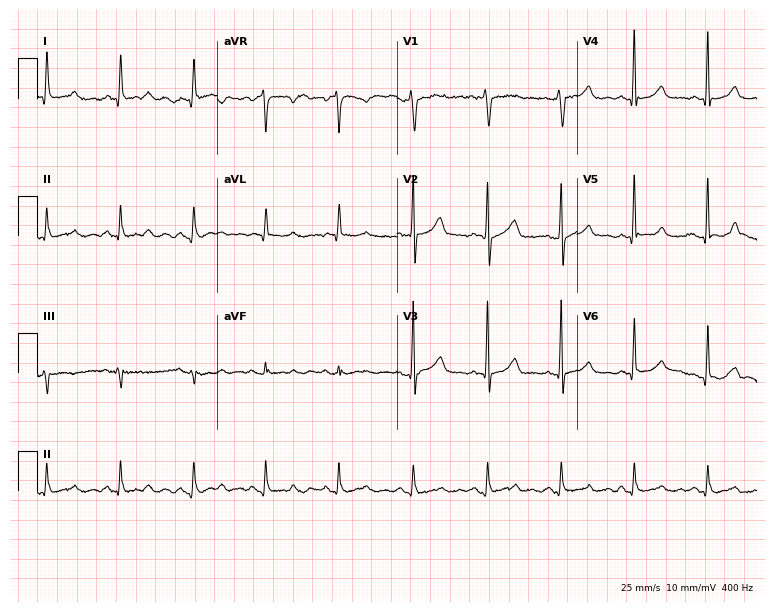
Resting 12-lead electrocardiogram. Patient: a 49-year-old male. Read as a normal ECG.